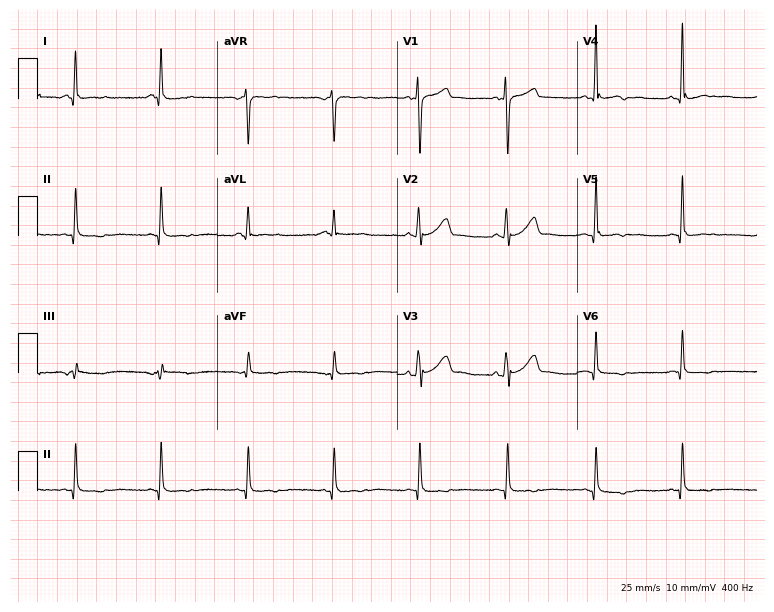
ECG — a male, 48 years old. Screened for six findings — first-degree AV block, right bundle branch block, left bundle branch block, sinus bradycardia, atrial fibrillation, sinus tachycardia — none is recorded. Only these six findings were labelled.